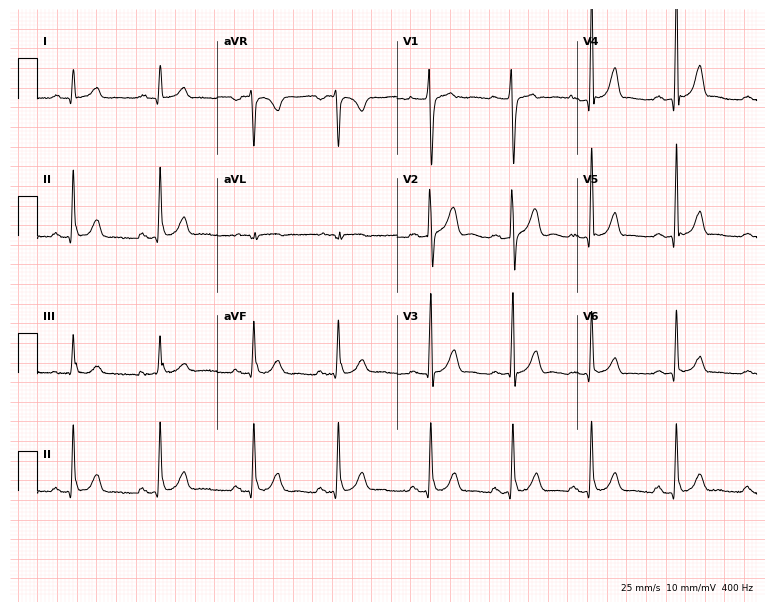
12-lead ECG from a man, 21 years old. Recorded interpretation: within normal limits.